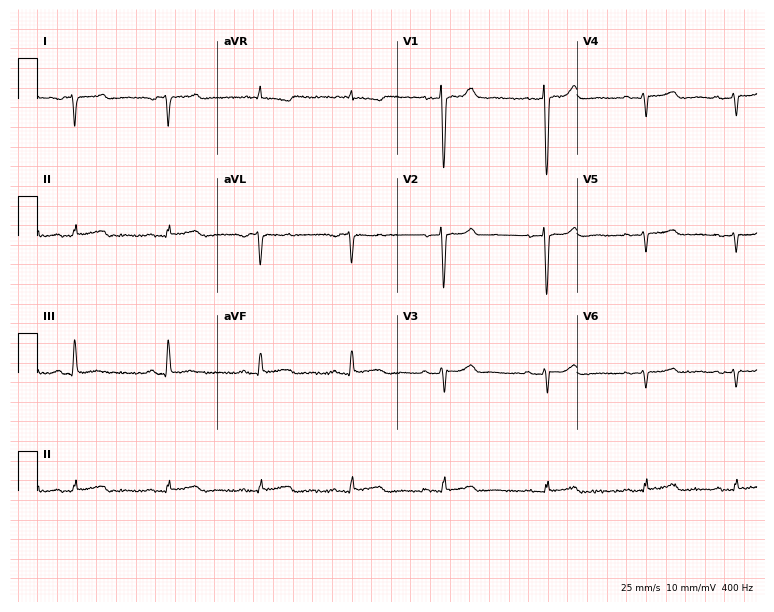
ECG — a 38-year-old male patient. Screened for six findings — first-degree AV block, right bundle branch block, left bundle branch block, sinus bradycardia, atrial fibrillation, sinus tachycardia — none is recorded.